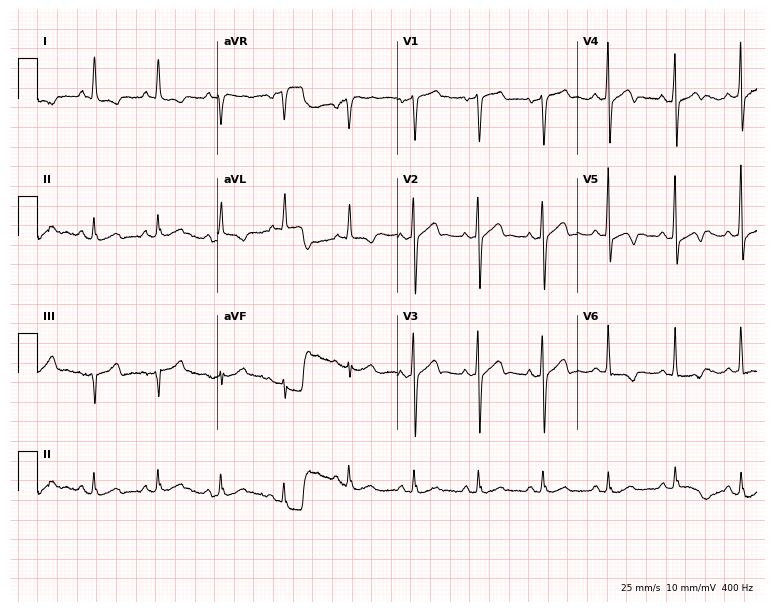
ECG — a 56-year-old male. Screened for six findings — first-degree AV block, right bundle branch block (RBBB), left bundle branch block (LBBB), sinus bradycardia, atrial fibrillation (AF), sinus tachycardia — none is recorded.